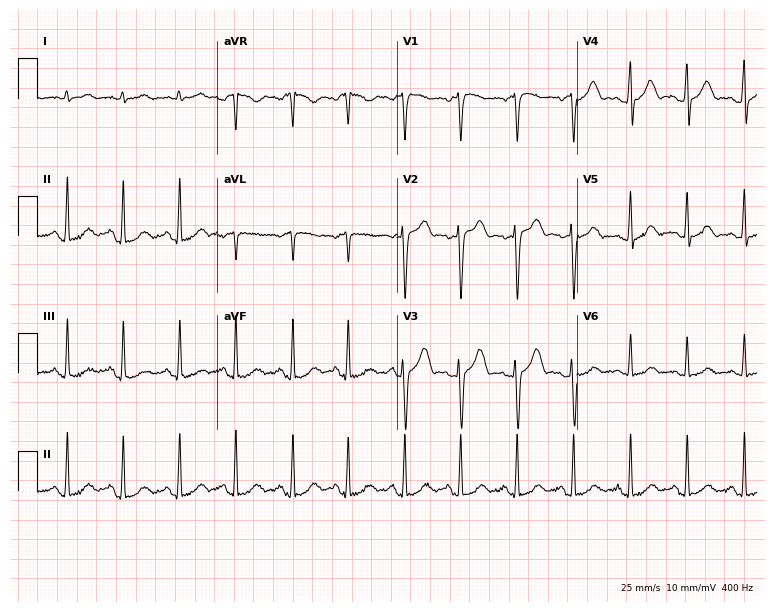
ECG (7.3-second recording at 400 Hz) — a 48-year-old man. Screened for six findings — first-degree AV block, right bundle branch block, left bundle branch block, sinus bradycardia, atrial fibrillation, sinus tachycardia — none is recorded.